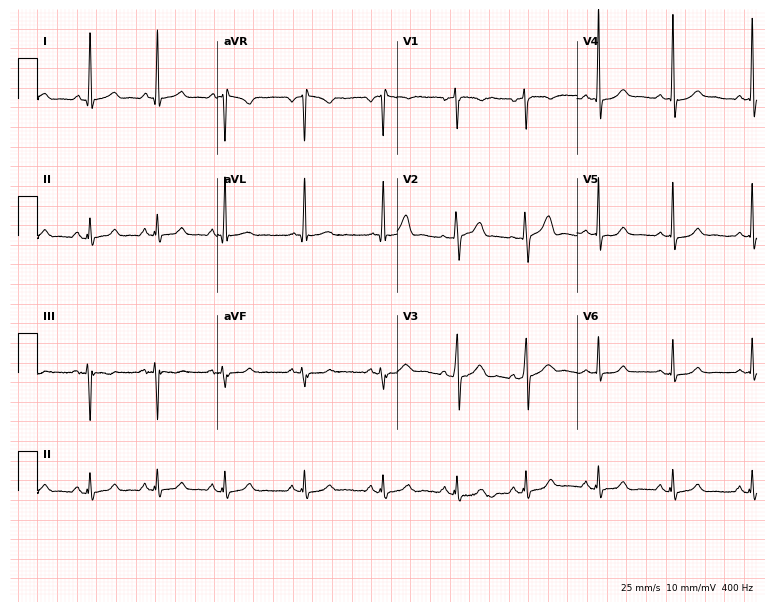
12-lead ECG from a 55-year-old man. Labelled as a normal ECG.